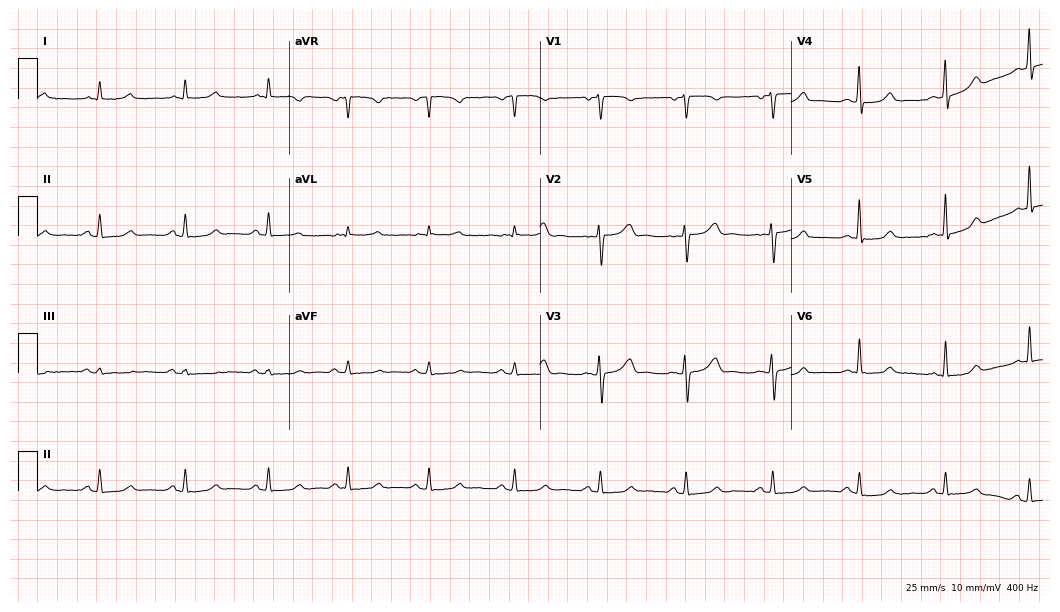
12-lead ECG (10.2-second recording at 400 Hz) from a 62-year-old female. Labelled as a normal ECG.